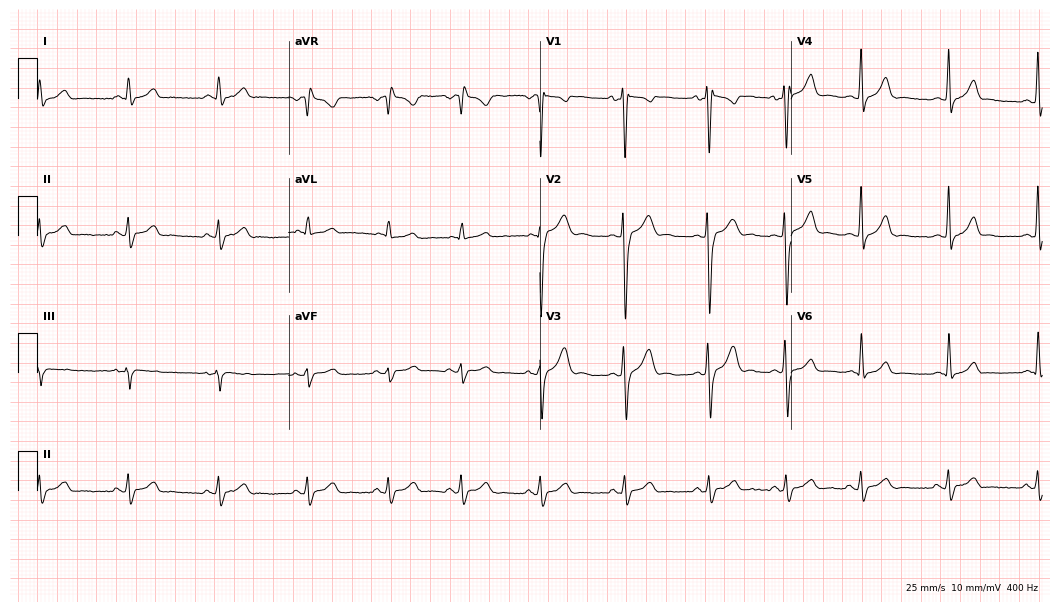
12-lead ECG (10.2-second recording at 400 Hz) from a male, 17 years old. Screened for six findings — first-degree AV block, right bundle branch block, left bundle branch block, sinus bradycardia, atrial fibrillation, sinus tachycardia — none is recorded.